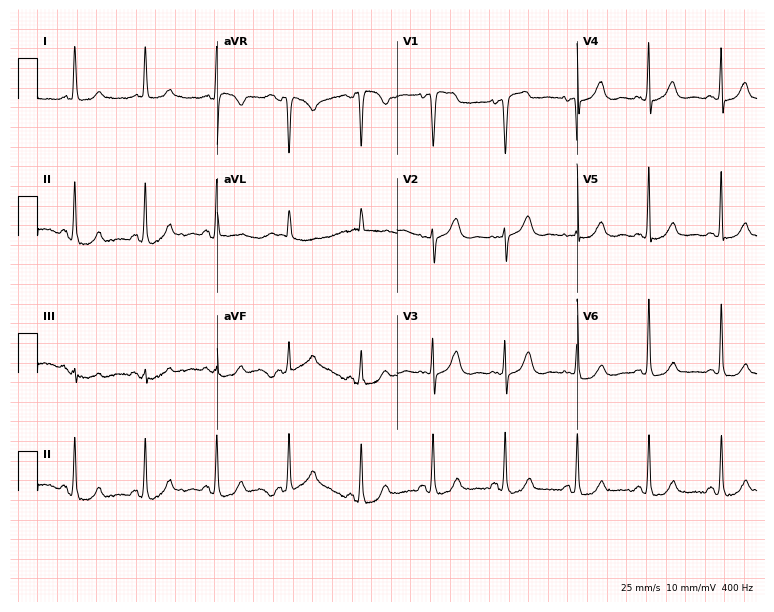
12-lead ECG from an 85-year-old female patient. Recorded interpretation: within normal limits.